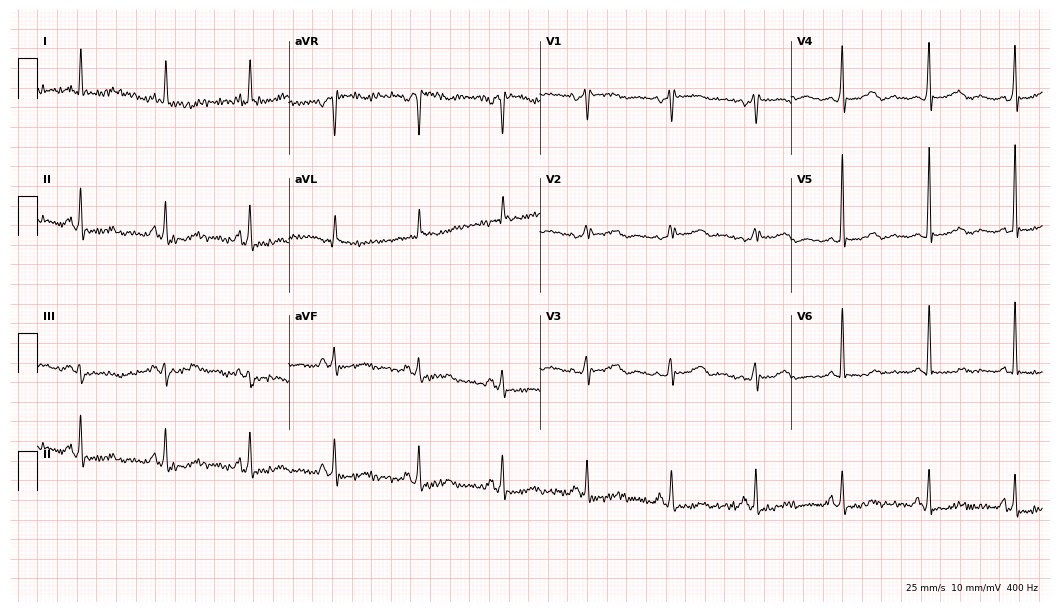
12-lead ECG from a female, 78 years old. Screened for six findings — first-degree AV block, right bundle branch block, left bundle branch block, sinus bradycardia, atrial fibrillation, sinus tachycardia — none is recorded.